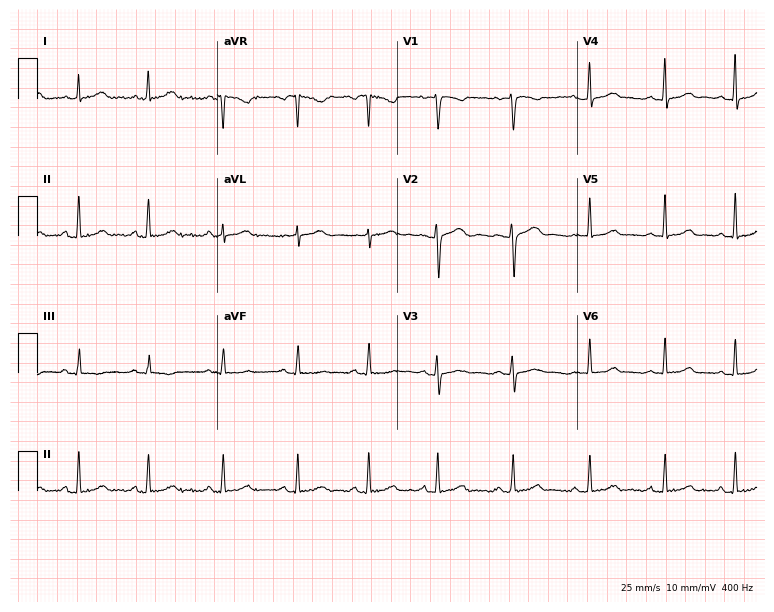
Electrocardiogram (7.3-second recording at 400 Hz), a woman, 35 years old. Overall reading on record: normal ECG.